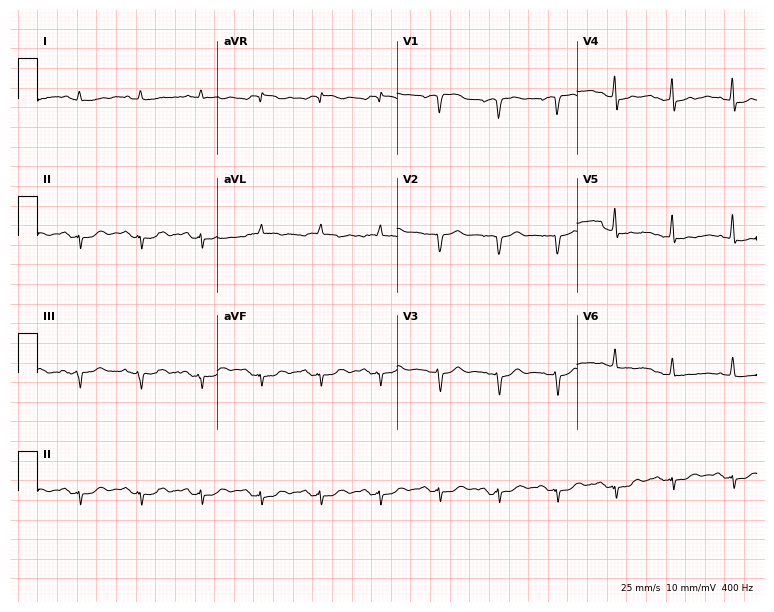
Resting 12-lead electrocardiogram (7.3-second recording at 400 Hz). Patient: a male, 80 years old. None of these six findings is recorded: first-degree AV block, right bundle branch block, left bundle branch block, sinus bradycardia, atrial fibrillation, sinus tachycardia.